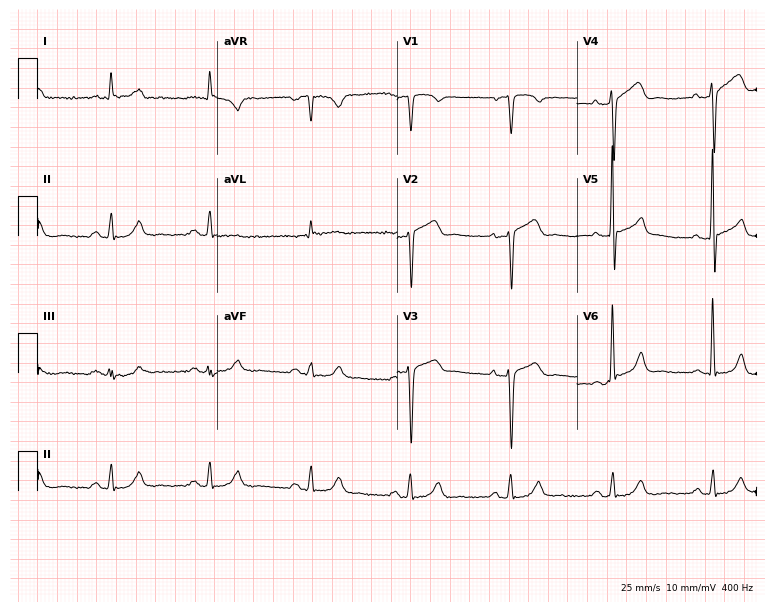
12-lead ECG from a 61-year-old man. No first-degree AV block, right bundle branch block, left bundle branch block, sinus bradycardia, atrial fibrillation or sinus tachycardia recorded for this tracing.